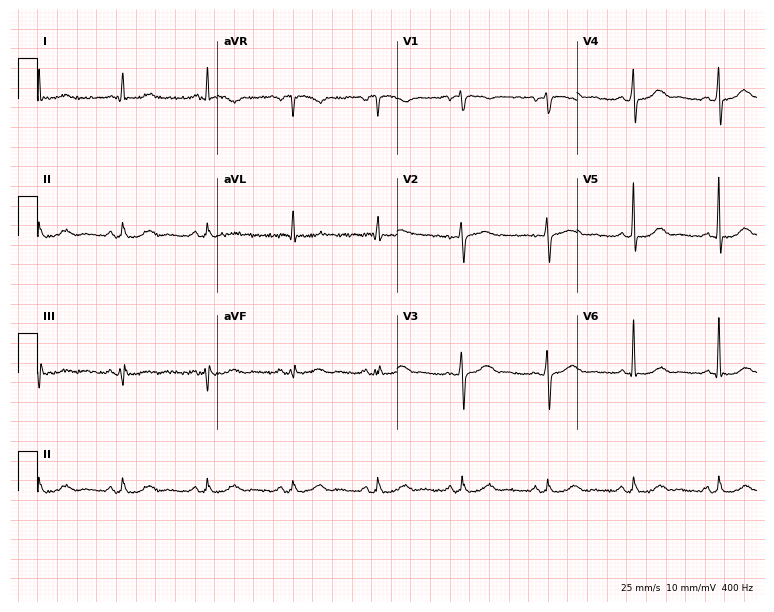
Resting 12-lead electrocardiogram (7.3-second recording at 400 Hz). Patient: a female, 61 years old. Read as a normal ECG.